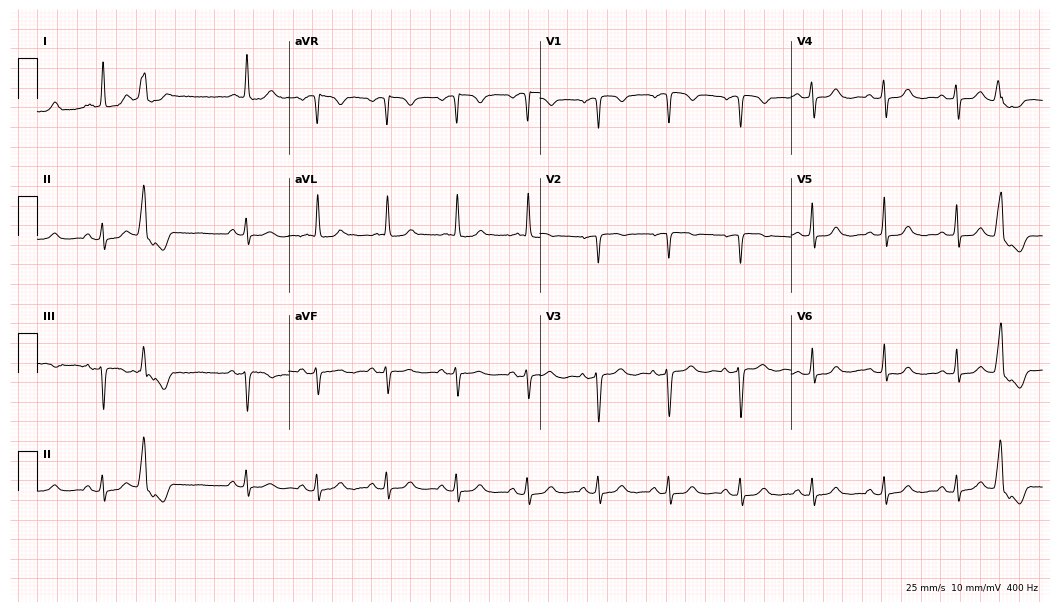
Resting 12-lead electrocardiogram. Patient: a 77-year-old female. None of these six findings is recorded: first-degree AV block, right bundle branch block (RBBB), left bundle branch block (LBBB), sinus bradycardia, atrial fibrillation (AF), sinus tachycardia. Findings outside these six are not listed.